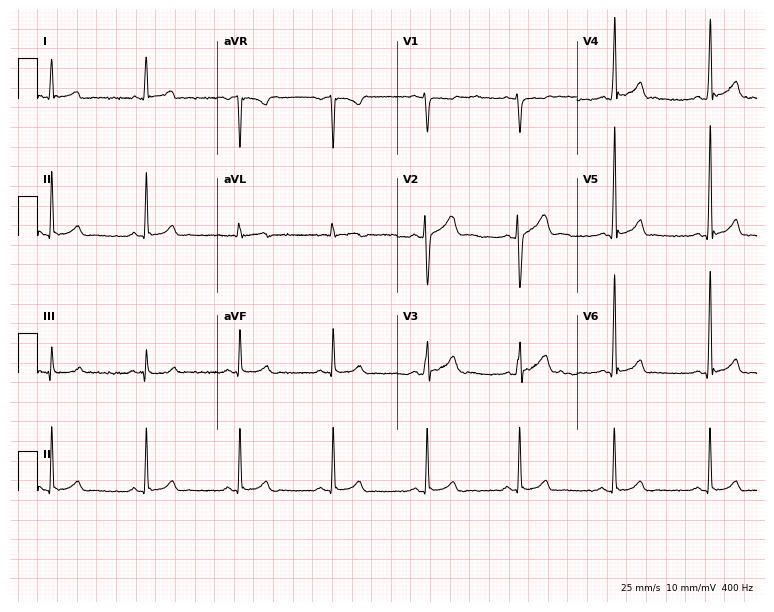
12-lead ECG from a man, 29 years old (7.3-second recording at 400 Hz). No first-degree AV block, right bundle branch block, left bundle branch block, sinus bradycardia, atrial fibrillation or sinus tachycardia recorded for this tracing. Only these six findings were labelled.